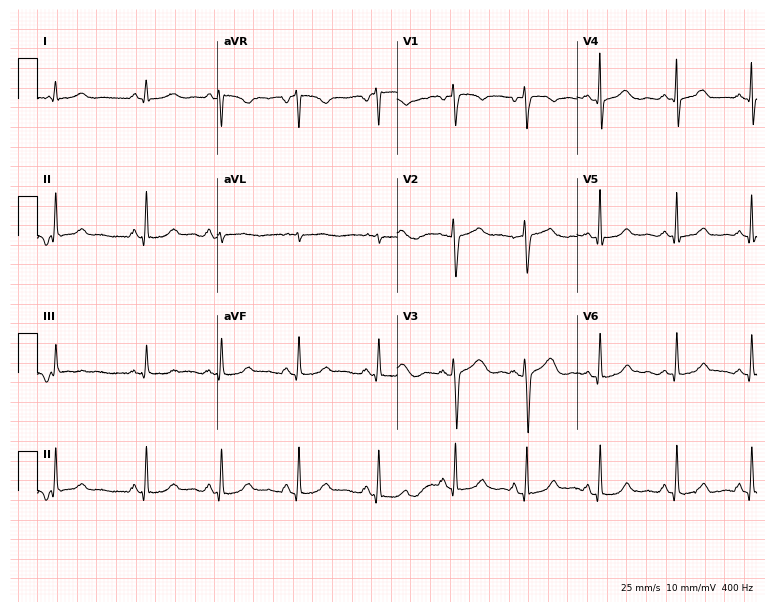
12-lead ECG from a 40-year-old female. No first-degree AV block, right bundle branch block, left bundle branch block, sinus bradycardia, atrial fibrillation or sinus tachycardia recorded for this tracing. Findings outside these six are not listed.